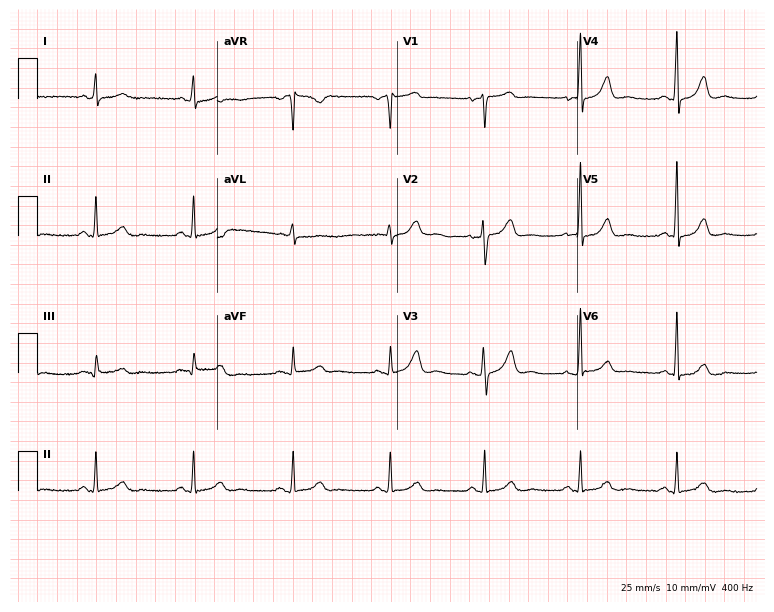
Resting 12-lead electrocardiogram. Patient: a 55-year-old woman. None of these six findings is recorded: first-degree AV block, right bundle branch block, left bundle branch block, sinus bradycardia, atrial fibrillation, sinus tachycardia. Only these six findings were labelled.